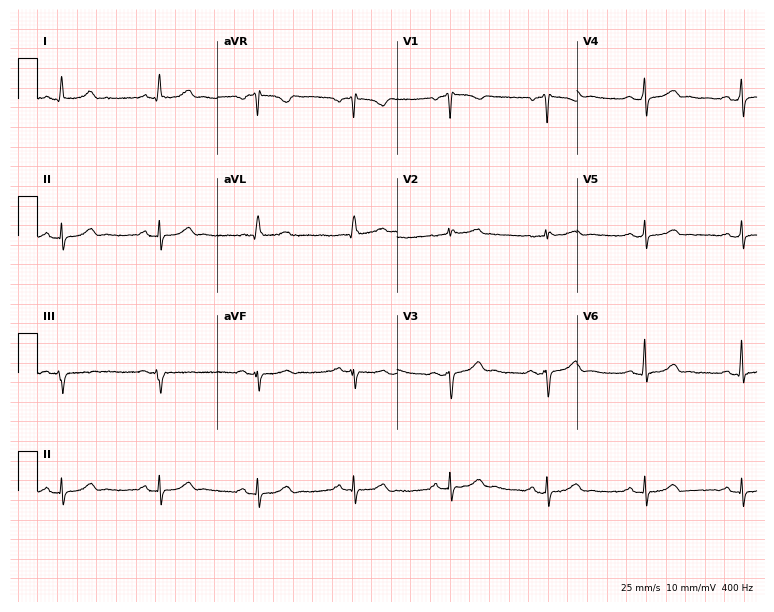
12-lead ECG from a 47-year-old male patient (7.3-second recording at 400 Hz). Recorded interpretation: within normal limits.